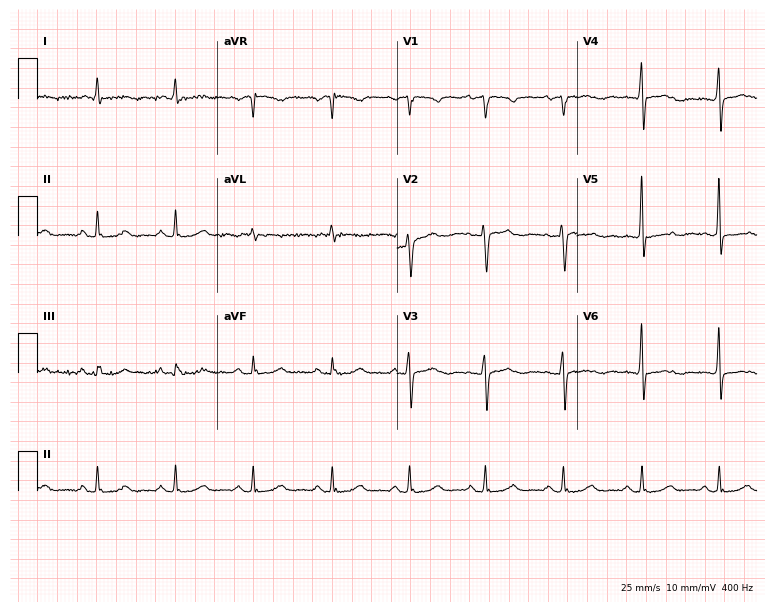
Electrocardiogram (7.3-second recording at 400 Hz), a woman, 85 years old. Of the six screened findings (first-degree AV block, right bundle branch block, left bundle branch block, sinus bradycardia, atrial fibrillation, sinus tachycardia), none is recorded.